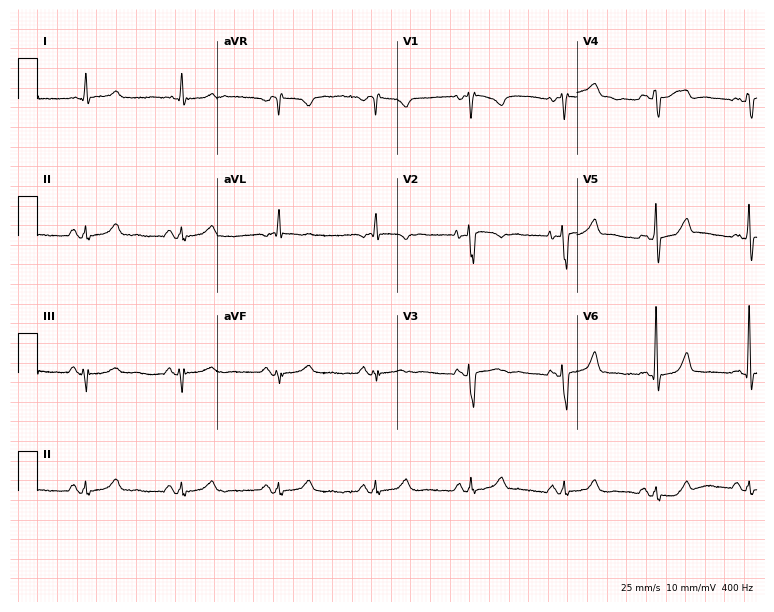
12-lead ECG from a male patient, 60 years old. Labelled as a normal ECG.